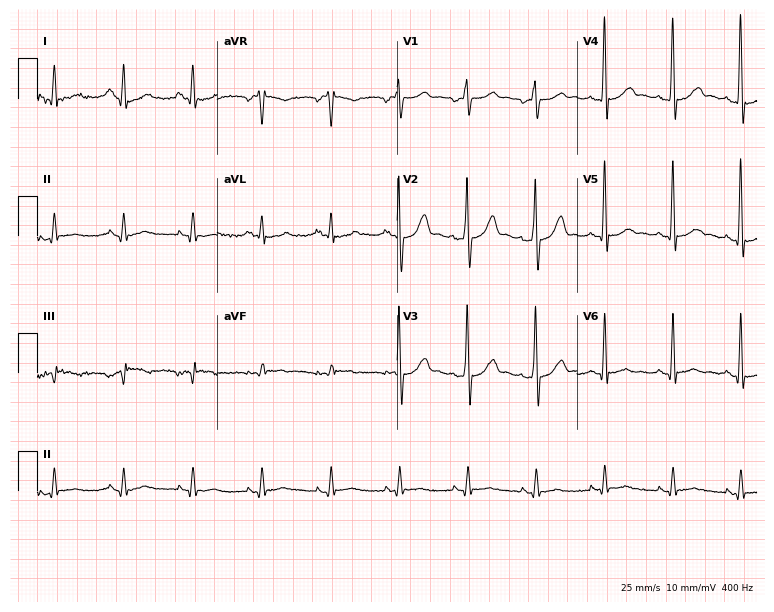
Resting 12-lead electrocardiogram (7.3-second recording at 400 Hz). Patient: a 44-year-old man. None of these six findings is recorded: first-degree AV block, right bundle branch block, left bundle branch block, sinus bradycardia, atrial fibrillation, sinus tachycardia. Other findings, if any, are not listed.